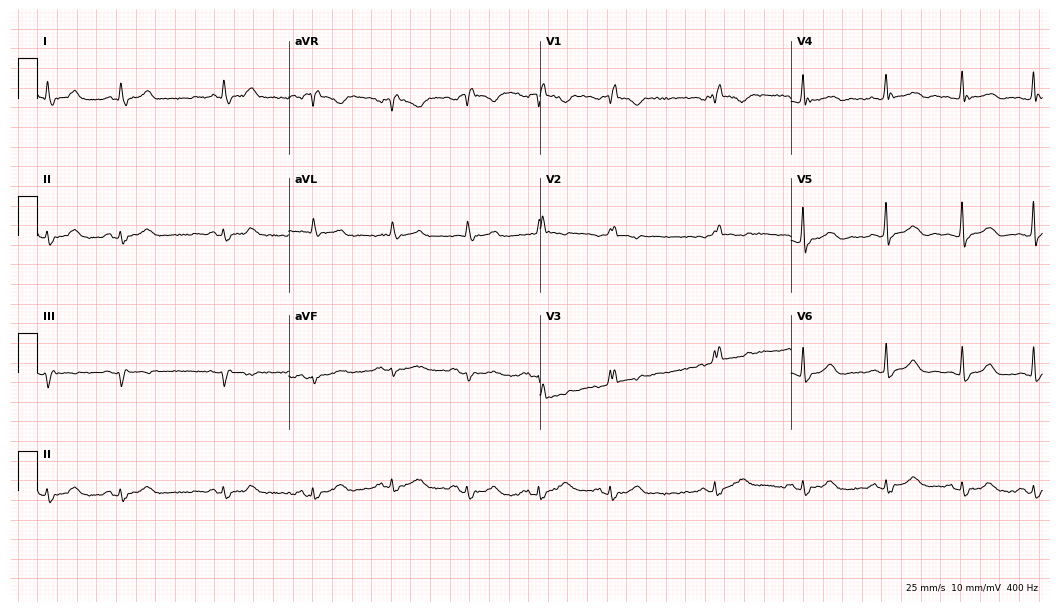
12-lead ECG (10.2-second recording at 400 Hz) from a female patient, 84 years old. Screened for six findings — first-degree AV block, right bundle branch block, left bundle branch block, sinus bradycardia, atrial fibrillation, sinus tachycardia — none is recorded. Only these six findings were labelled.